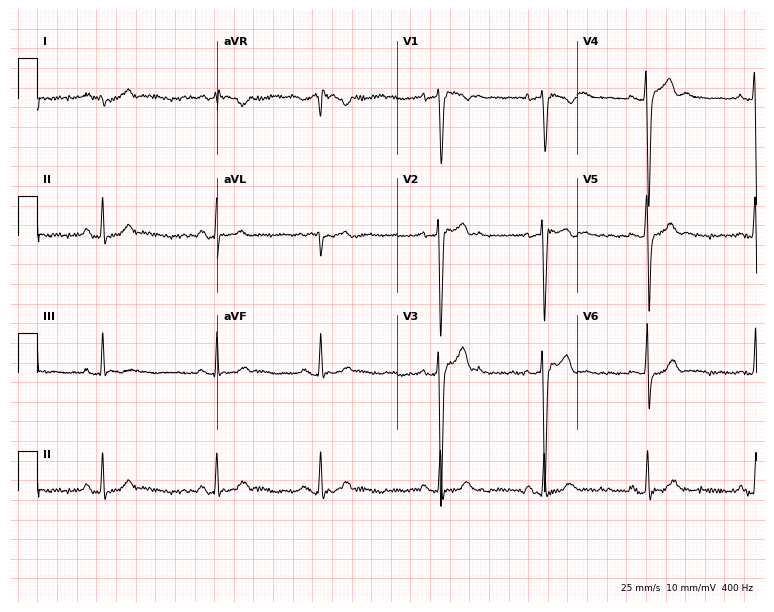
12-lead ECG from a male, 26 years old (7.3-second recording at 400 Hz). No first-degree AV block, right bundle branch block, left bundle branch block, sinus bradycardia, atrial fibrillation or sinus tachycardia recorded for this tracing.